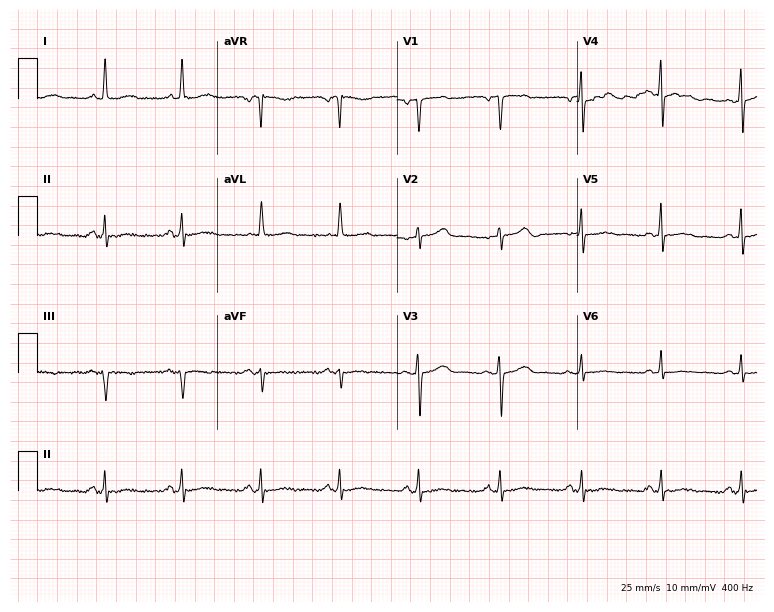
Standard 12-lead ECG recorded from a 67-year-old female. None of these six findings is recorded: first-degree AV block, right bundle branch block, left bundle branch block, sinus bradycardia, atrial fibrillation, sinus tachycardia. Only these six findings were labelled.